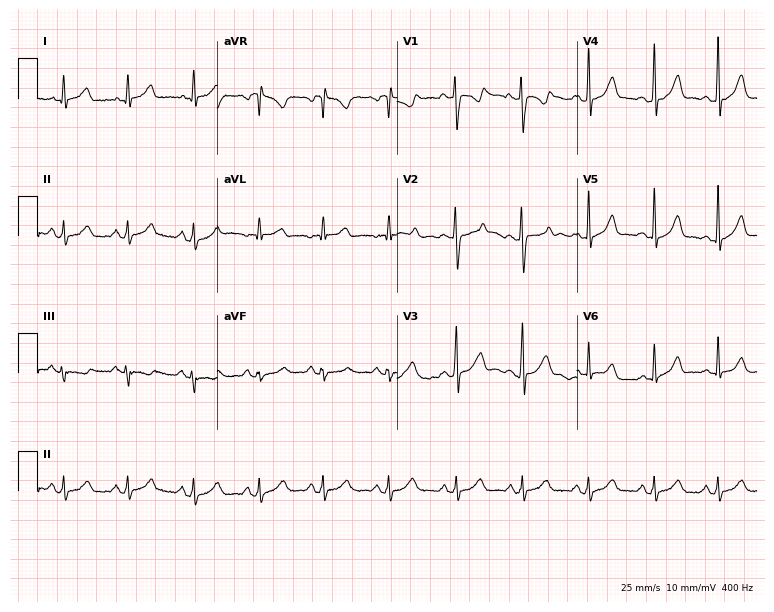
Resting 12-lead electrocardiogram (7.3-second recording at 400 Hz). Patient: a 19-year-old woman. Read as a normal ECG.